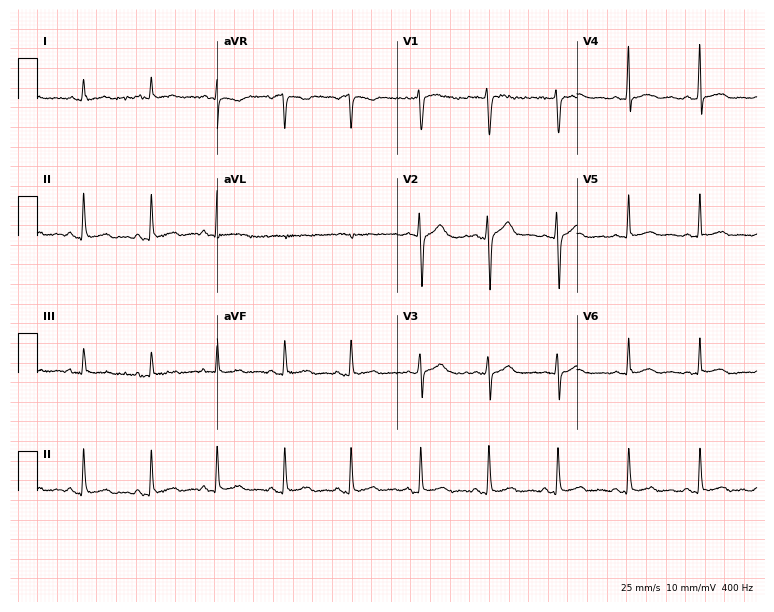
Standard 12-lead ECG recorded from a 21-year-old woman (7.3-second recording at 400 Hz). None of these six findings is recorded: first-degree AV block, right bundle branch block (RBBB), left bundle branch block (LBBB), sinus bradycardia, atrial fibrillation (AF), sinus tachycardia.